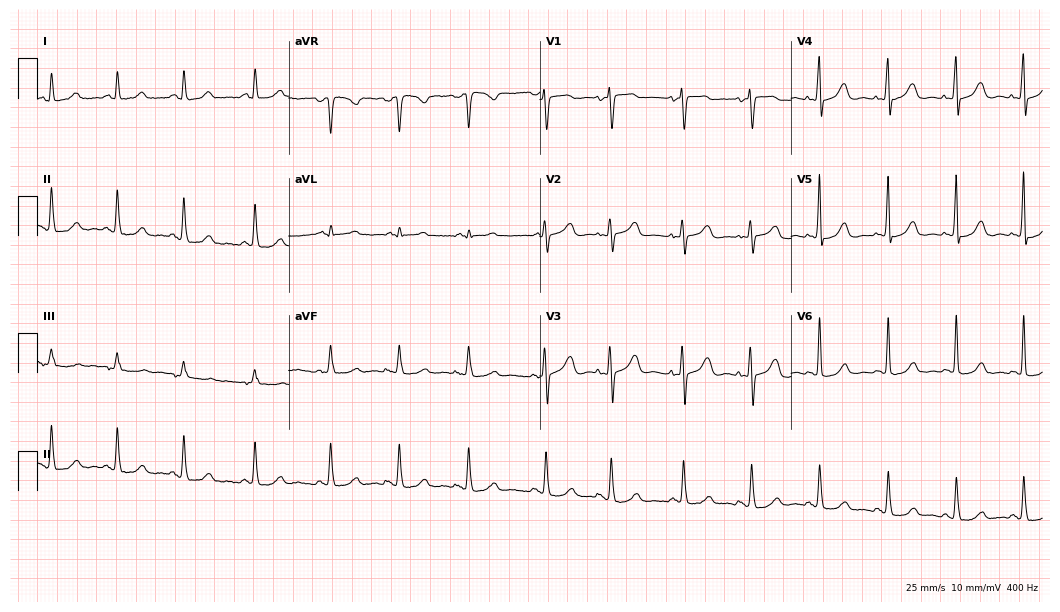
12-lead ECG from a woman, 77 years old. No first-degree AV block, right bundle branch block (RBBB), left bundle branch block (LBBB), sinus bradycardia, atrial fibrillation (AF) or sinus tachycardia recorded for this tracing.